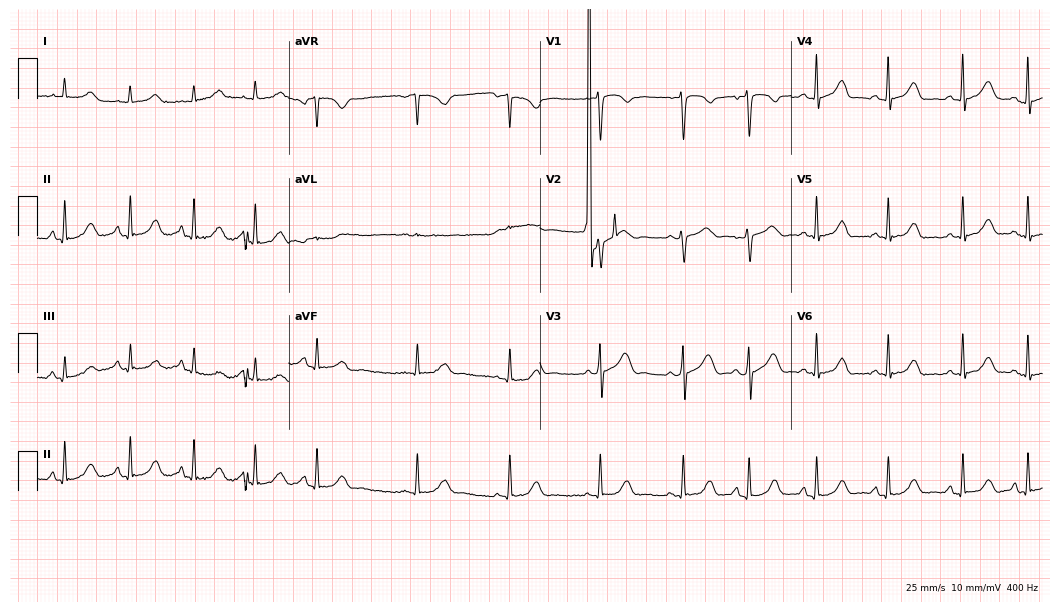
ECG — a 21-year-old female patient. Labelled as a normal ECG.